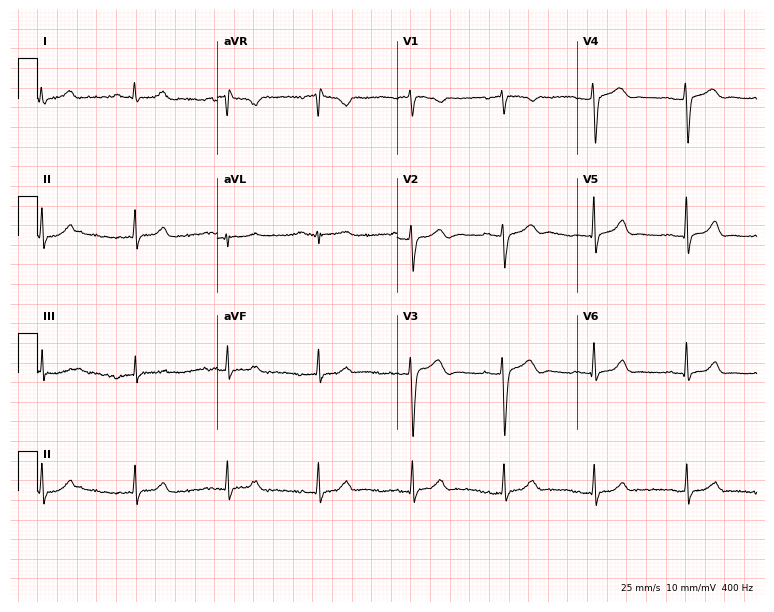
12-lead ECG from a woman, 41 years old. Labelled as a normal ECG.